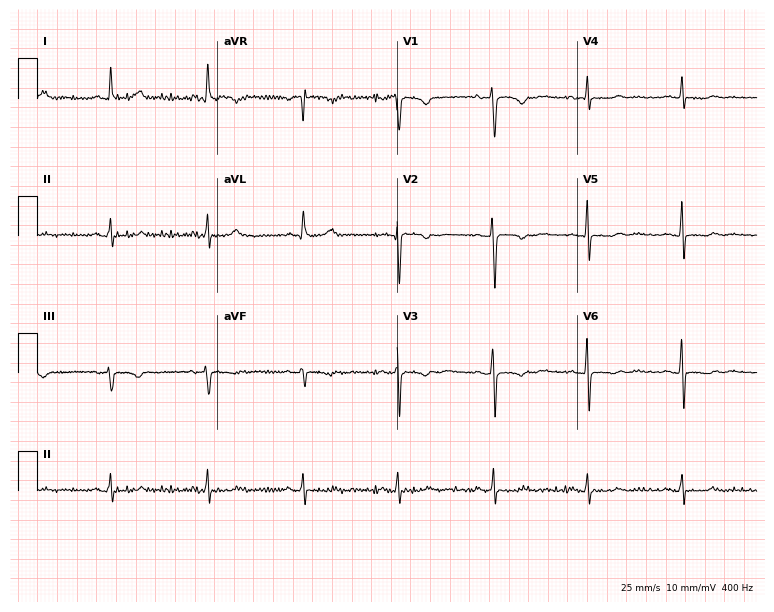
Standard 12-lead ECG recorded from a 55-year-old female (7.3-second recording at 400 Hz). None of these six findings is recorded: first-degree AV block, right bundle branch block, left bundle branch block, sinus bradycardia, atrial fibrillation, sinus tachycardia. Findings outside these six are not listed.